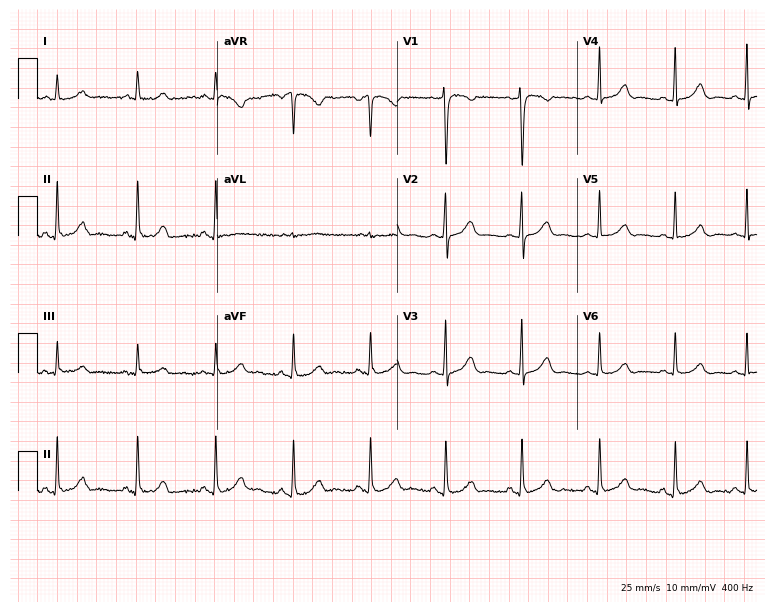
Resting 12-lead electrocardiogram (7.3-second recording at 400 Hz). Patient: a 27-year-old female. Read as a normal ECG.